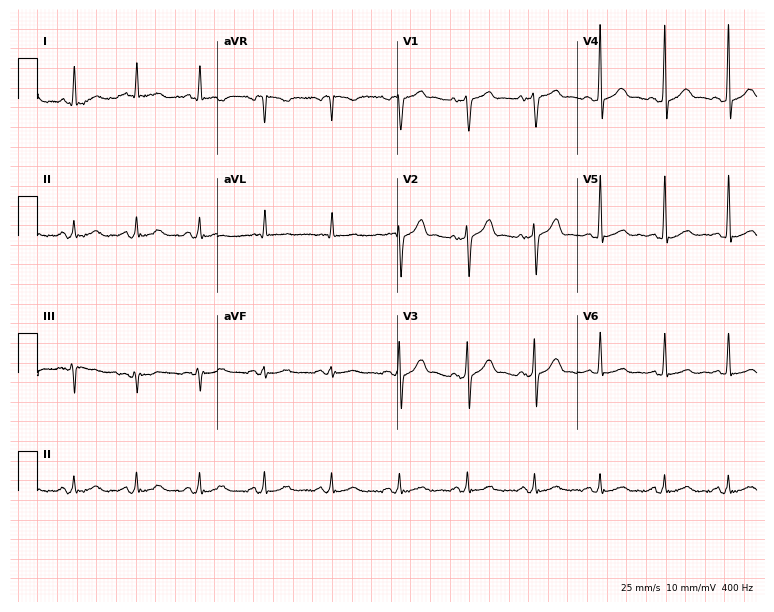
12-lead ECG from a 65-year-old male patient. Screened for six findings — first-degree AV block, right bundle branch block (RBBB), left bundle branch block (LBBB), sinus bradycardia, atrial fibrillation (AF), sinus tachycardia — none is recorded. Findings outside these six are not listed.